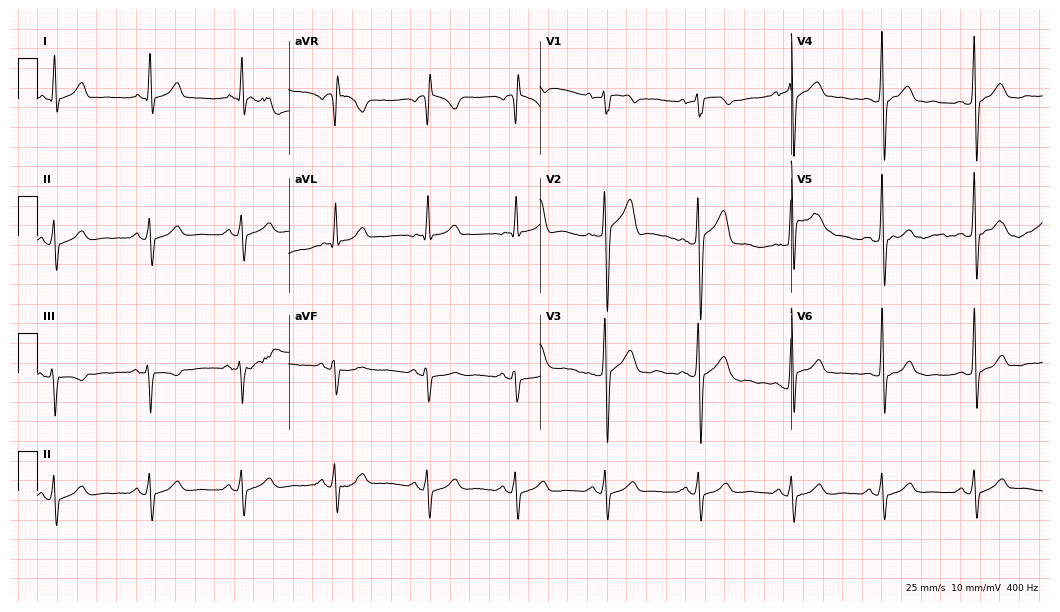
12-lead ECG (10.2-second recording at 400 Hz) from a 33-year-old male patient. Screened for six findings — first-degree AV block, right bundle branch block (RBBB), left bundle branch block (LBBB), sinus bradycardia, atrial fibrillation (AF), sinus tachycardia — none is recorded. Findings outside these six are not listed.